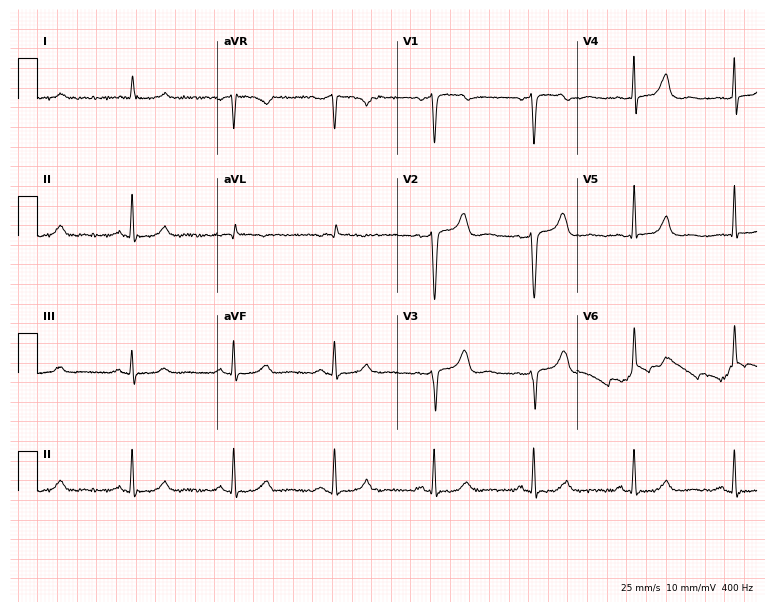
ECG — a male patient, 76 years old. Screened for six findings — first-degree AV block, right bundle branch block, left bundle branch block, sinus bradycardia, atrial fibrillation, sinus tachycardia — none is recorded.